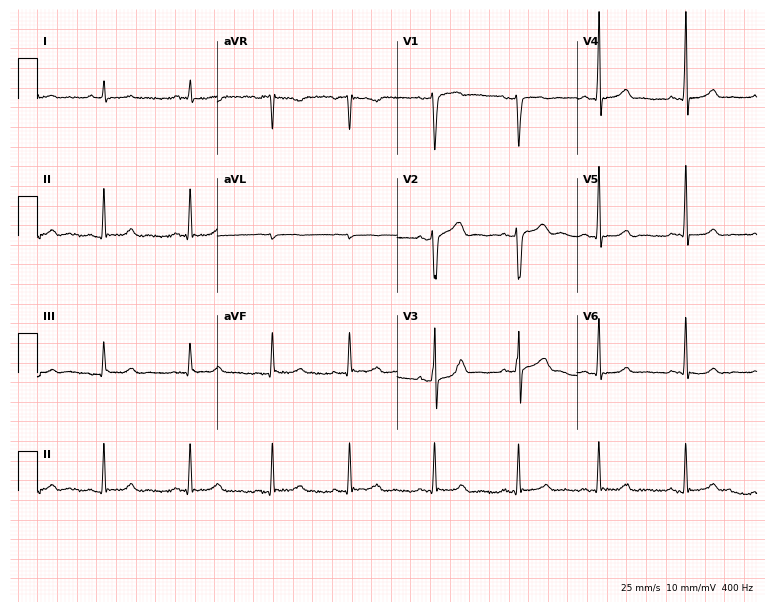
12-lead ECG from a man, 44 years old (7.3-second recording at 400 Hz). Recorded interpretation: within normal limits.